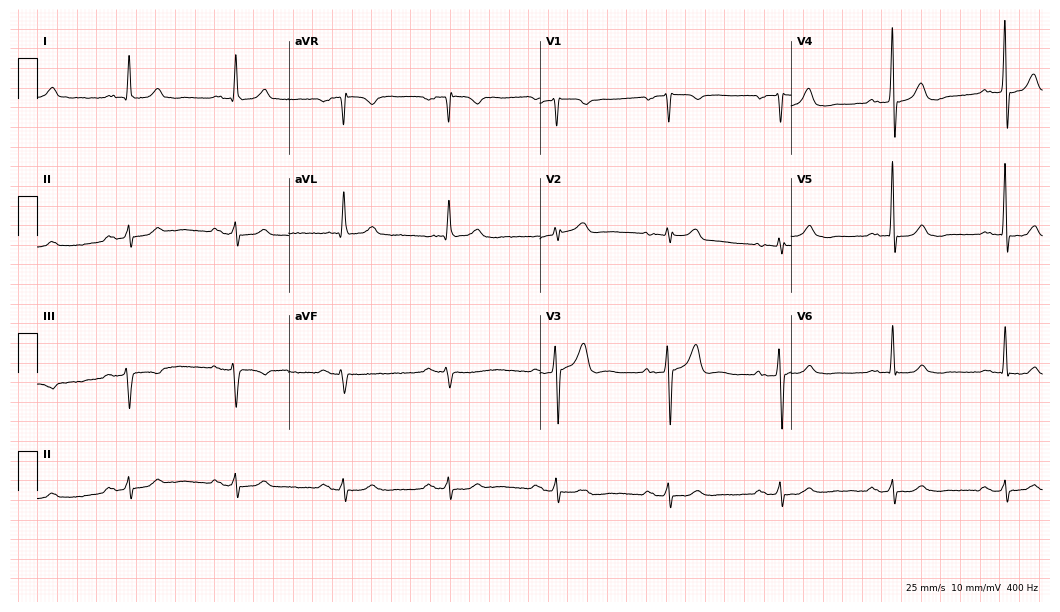
Electrocardiogram (10.2-second recording at 400 Hz), a male patient, 67 years old. Of the six screened findings (first-degree AV block, right bundle branch block (RBBB), left bundle branch block (LBBB), sinus bradycardia, atrial fibrillation (AF), sinus tachycardia), none is recorded.